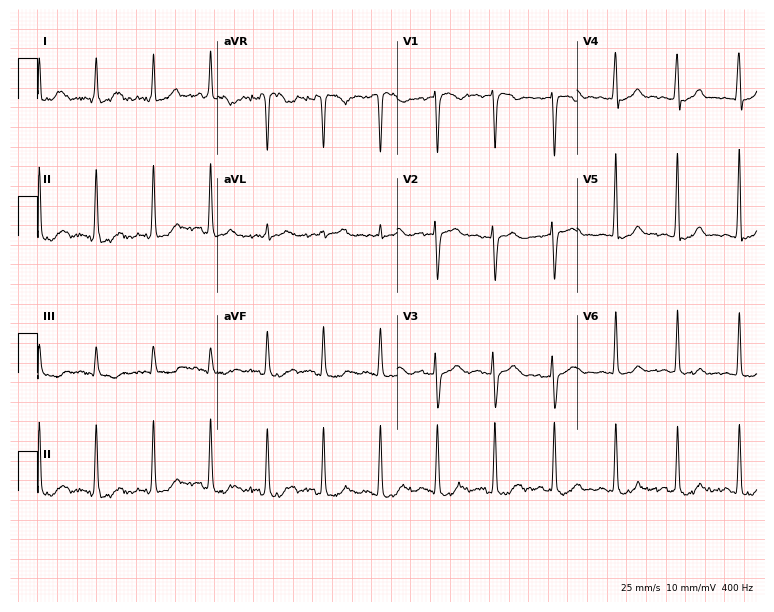
12-lead ECG (7.3-second recording at 400 Hz) from a woman, 40 years old. Findings include sinus tachycardia (a sinus rate of 100 beats per minute or more).